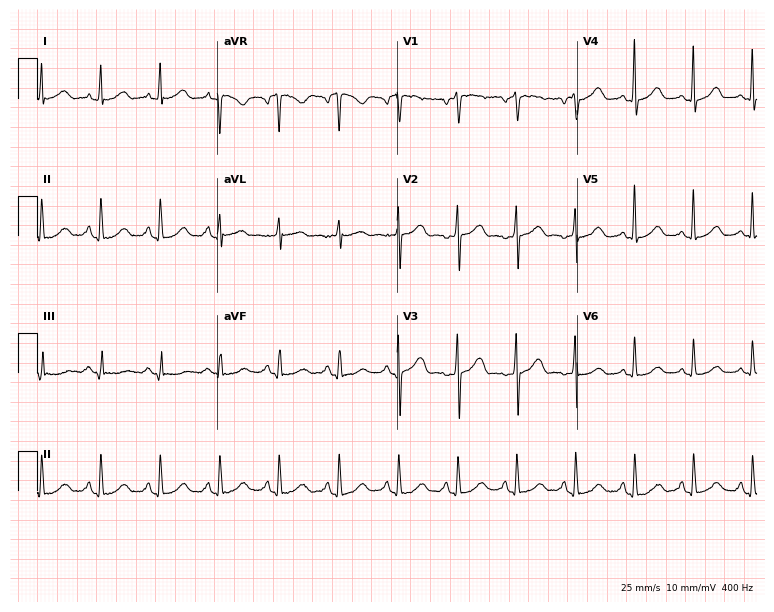
Electrocardiogram, a 54-year-old female. Overall reading on record: normal ECG.